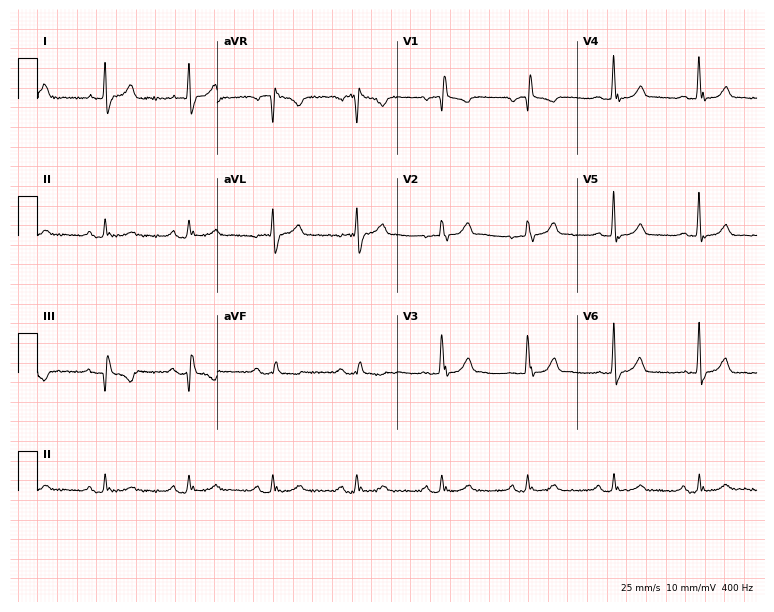
ECG — a 72-year-old male. Screened for six findings — first-degree AV block, right bundle branch block, left bundle branch block, sinus bradycardia, atrial fibrillation, sinus tachycardia — none is recorded.